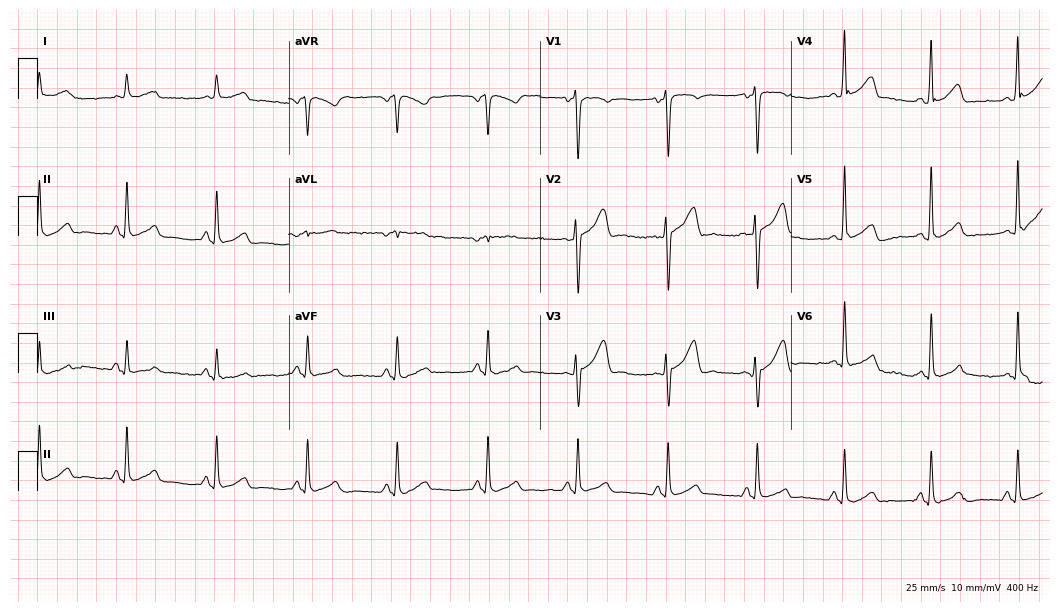
12-lead ECG from a 40-year-old male (10.2-second recording at 400 Hz). Recorded interpretation: within normal limits.